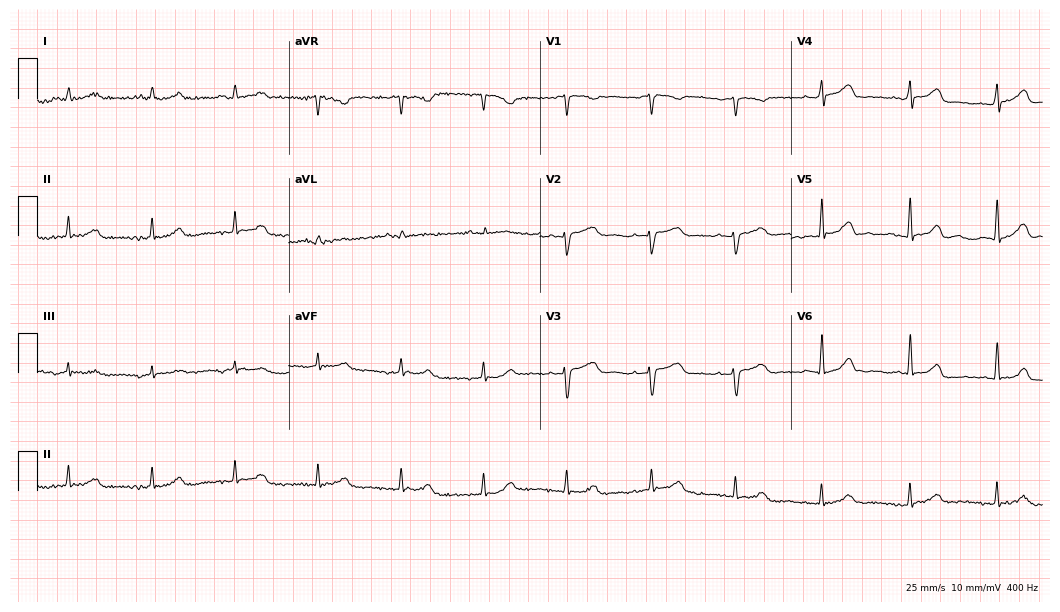
Standard 12-lead ECG recorded from a woman, 59 years old (10.2-second recording at 400 Hz). Read as a normal ECG.